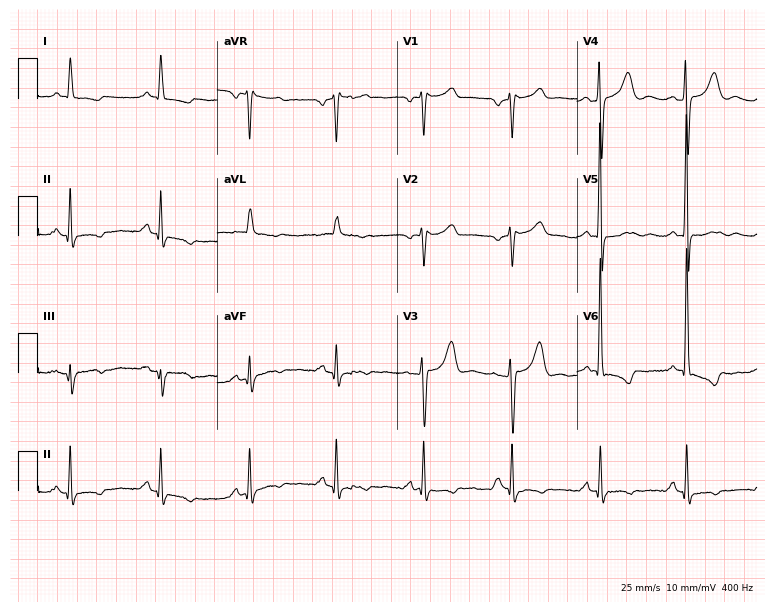
12-lead ECG from a woman, 62 years old. Labelled as a normal ECG.